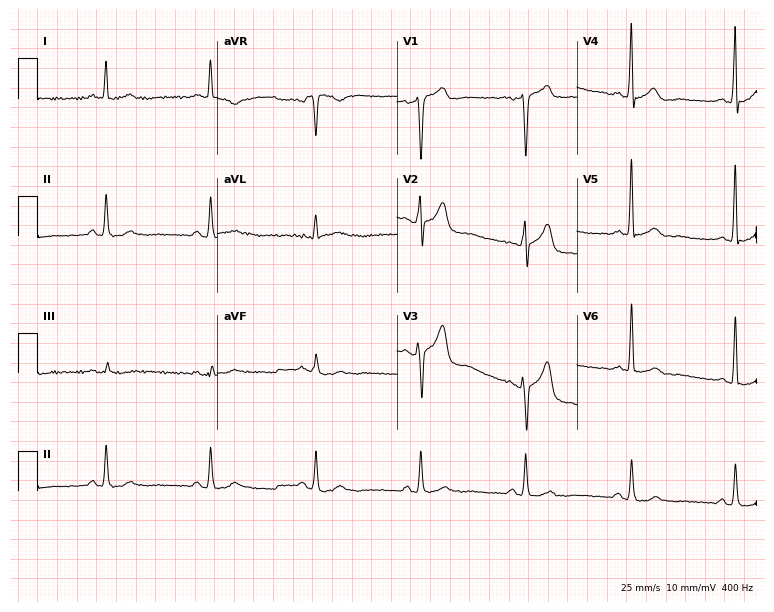
Resting 12-lead electrocardiogram (7.3-second recording at 400 Hz). Patient: a female, 57 years old. None of these six findings is recorded: first-degree AV block, right bundle branch block, left bundle branch block, sinus bradycardia, atrial fibrillation, sinus tachycardia. Findings outside these six are not listed.